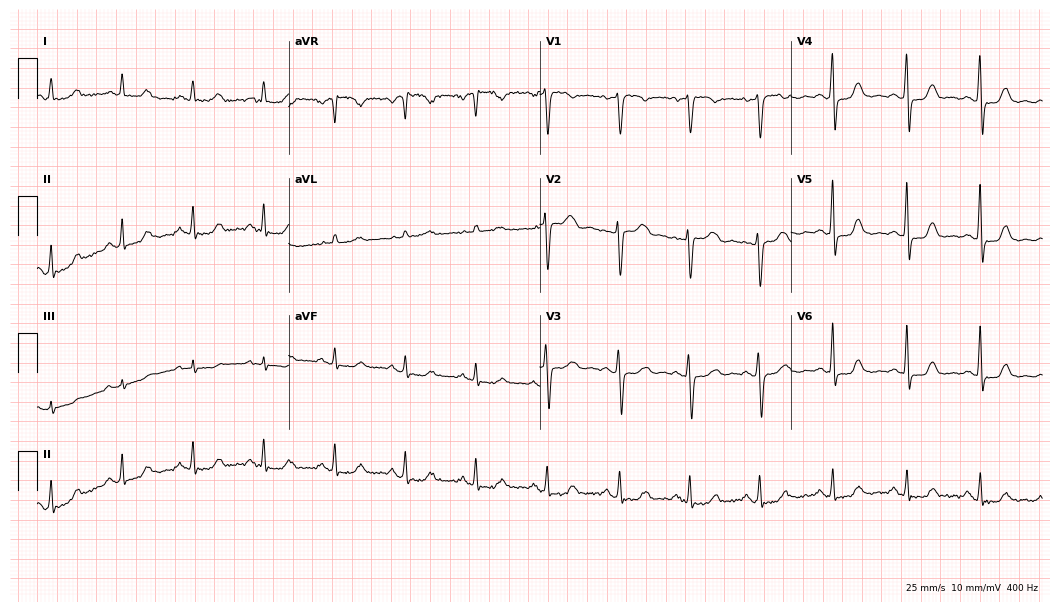
Electrocardiogram (10.2-second recording at 400 Hz), a 47-year-old woman. Of the six screened findings (first-degree AV block, right bundle branch block, left bundle branch block, sinus bradycardia, atrial fibrillation, sinus tachycardia), none is recorded. Other findings, if any, are not listed.